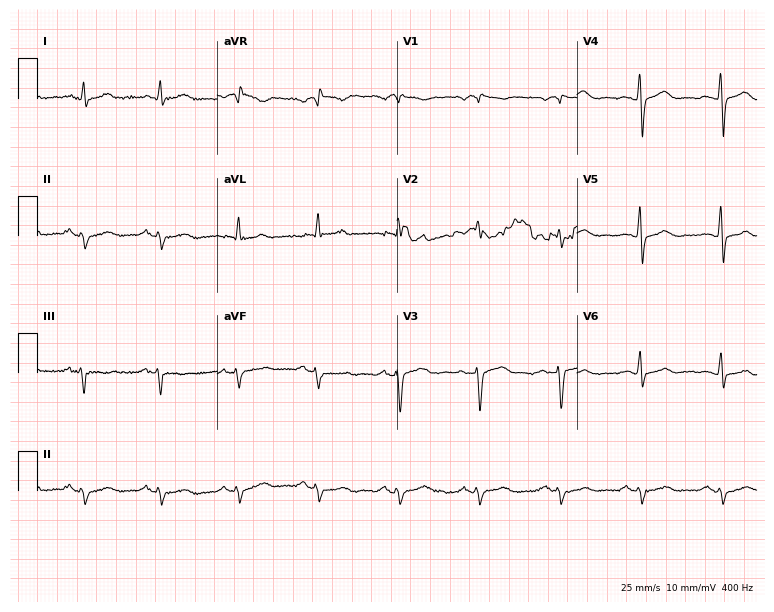
ECG — a male patient, 36 years old. Screened for six findings — first-degree AV block, right bundle branch block, left bundle branch block, sinus bradycardia, atrial fibrillation, sinus tachycardia — none is recorded. Other findings, if any, are not listed.